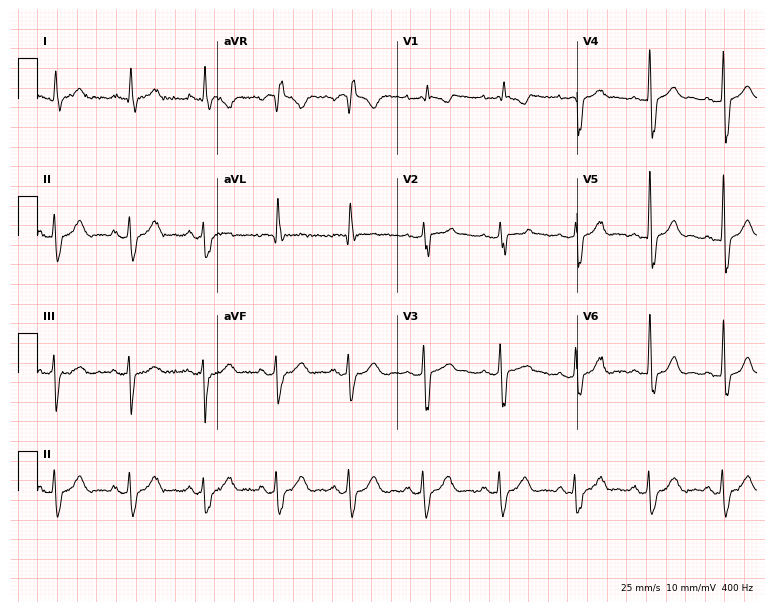
Standard 12-lead ECG recorded from a 57-year-old woman (7.3-second recording at 400 Hz). The tracing shows right bundle branch block.